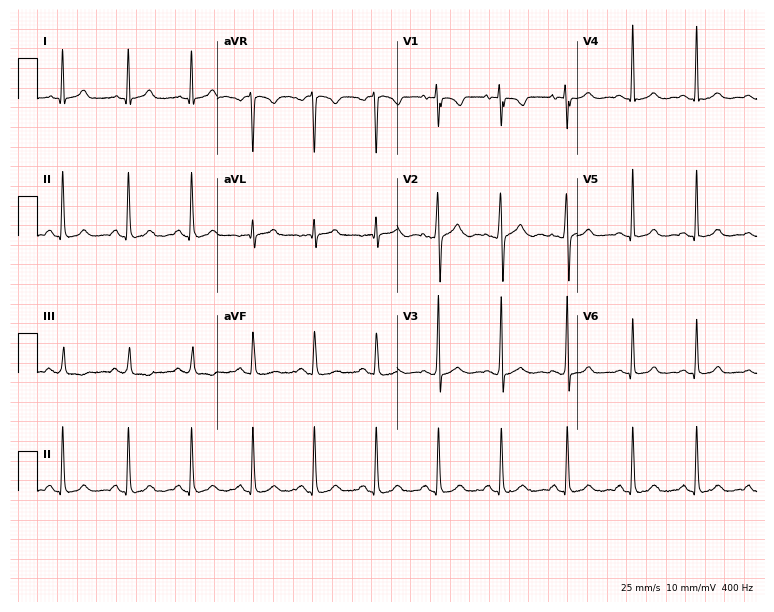
Electrocardiogram (7.3-second recording at 400 Hz), a woman, 24 years old. Of the six screened findings (first-degree AV block, right bundle branch block, left bundle branch block, sinus bradycardia, atrial fibrillation, sinus tachycardia), none is recorded. Other findings, if any, are not listed.